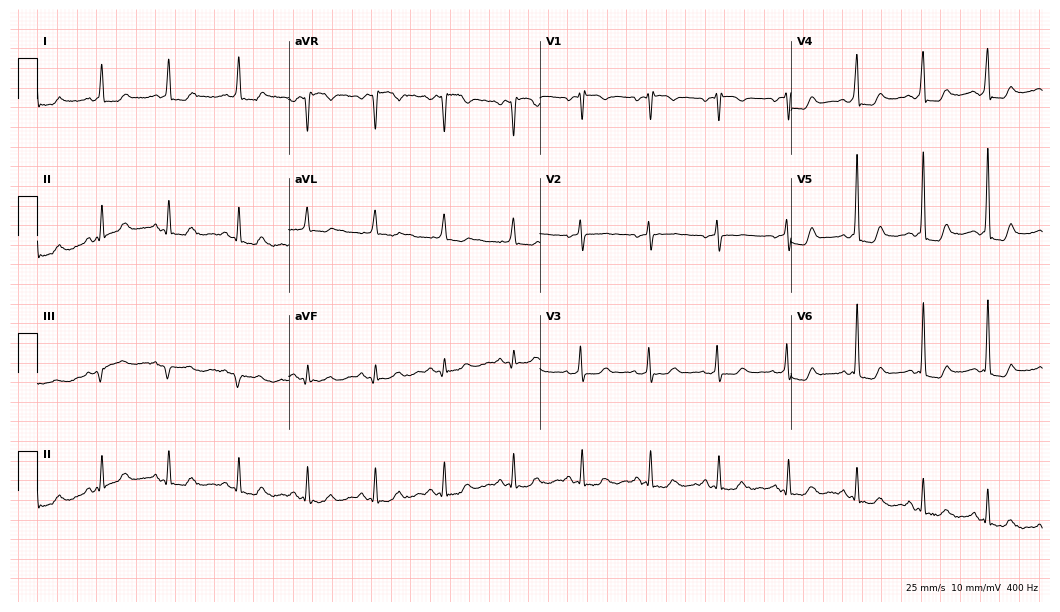
ECG — a 69-year-old female. Screened for six findings — first-degree AV block, right bundle branch block, left bundle branch block, sinus bradycardia, atrial fibrillation, sinus tachycardia — none is recorded. Other findings, if any, are not listed.